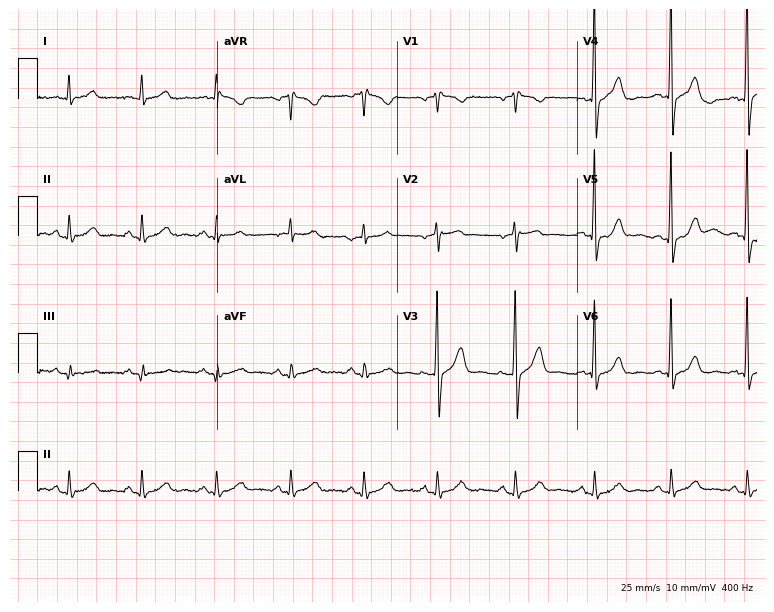
Standard 12-lead ECG recorded from a male patient, 67 years old (7.3-second recording at 400 Hz). Read as a normal ECG.